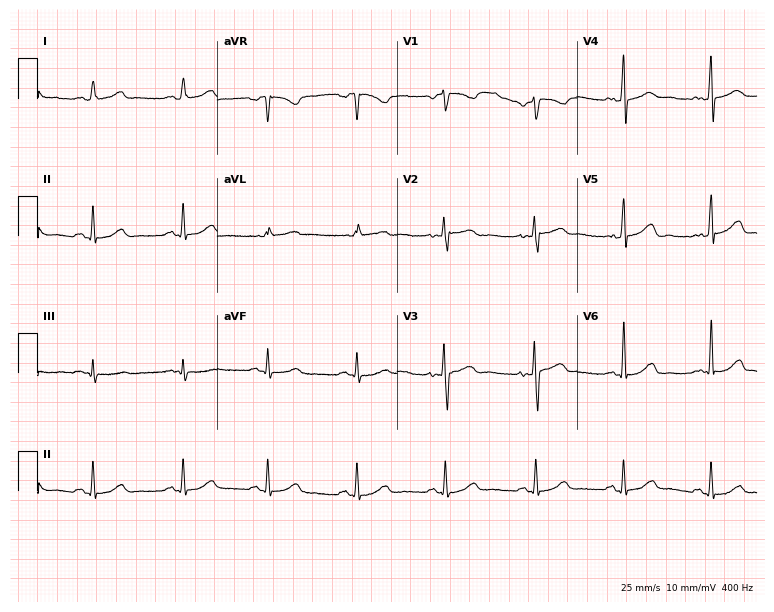
12-lead ECG (7.3-second recording at 400 Hz) from a 36-year-old woman. Labelled as a normal ECG.